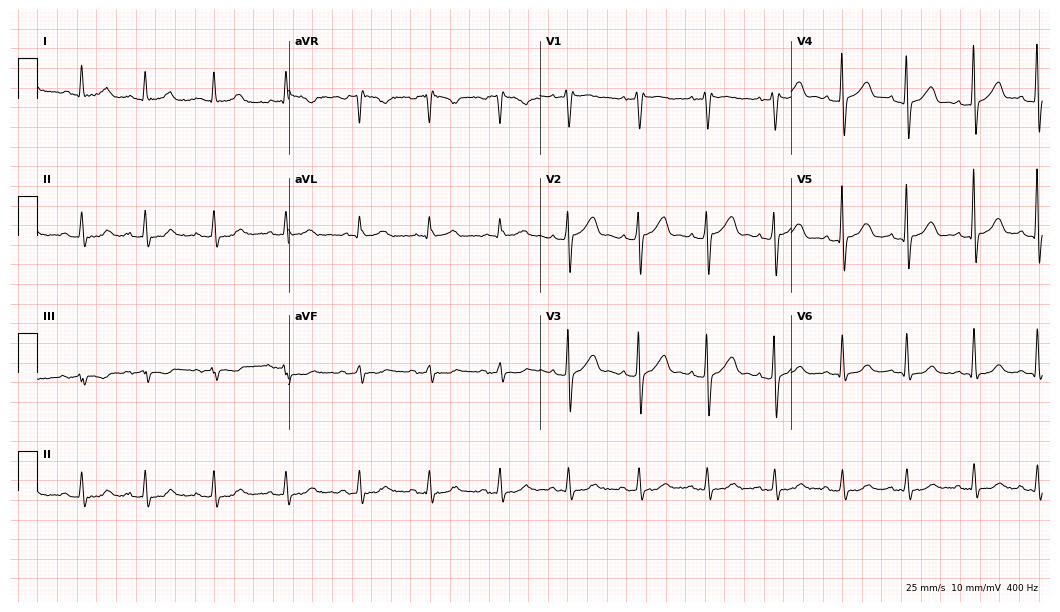
ECG — an 84-year-old man. Labelled as a normal ECG.